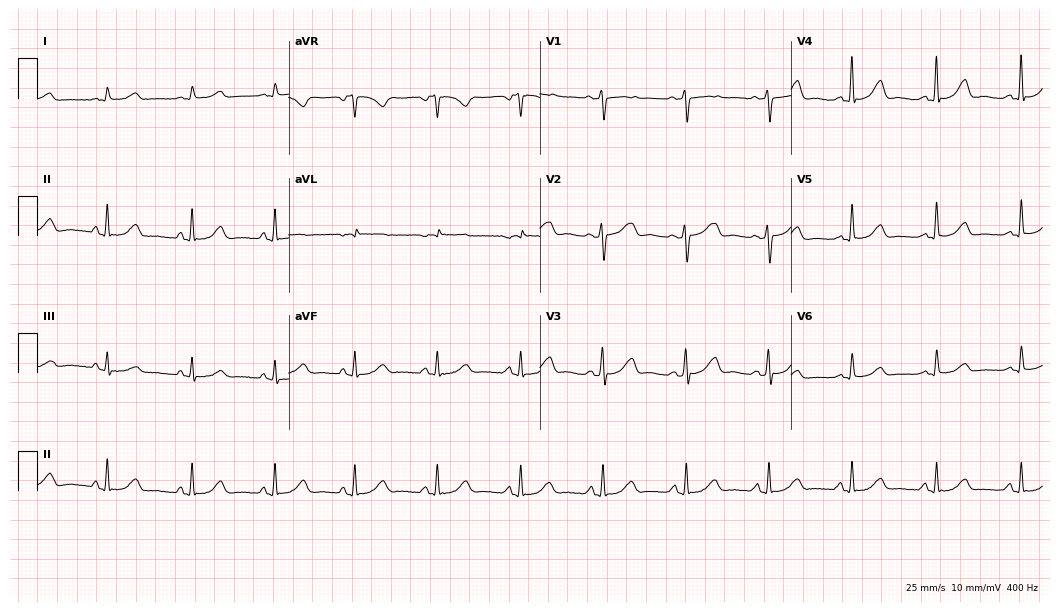
Resting 12-lead electrocardiogram. Patient: a female, 61 years old. Read as a normal ECG.